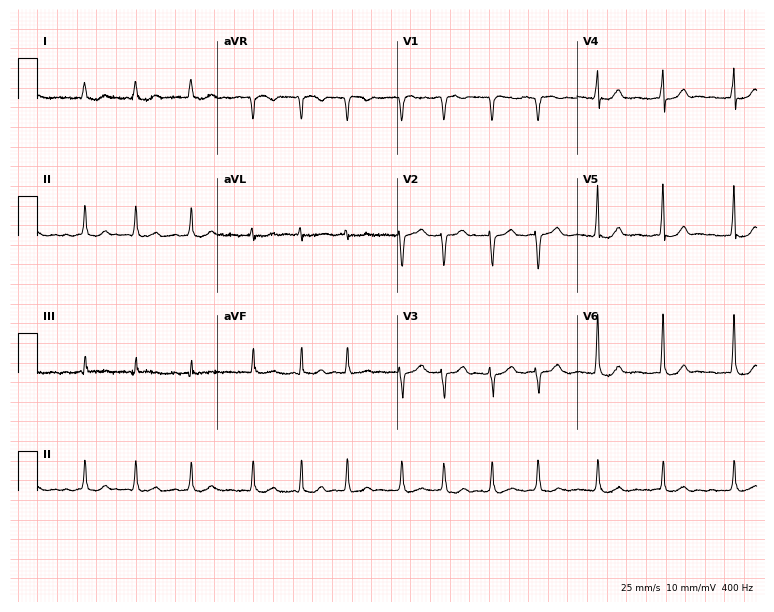
Standard 12-lead ECG recorded from a 75-year-old female patient. The tracing shows atrial fibrillation (AF).